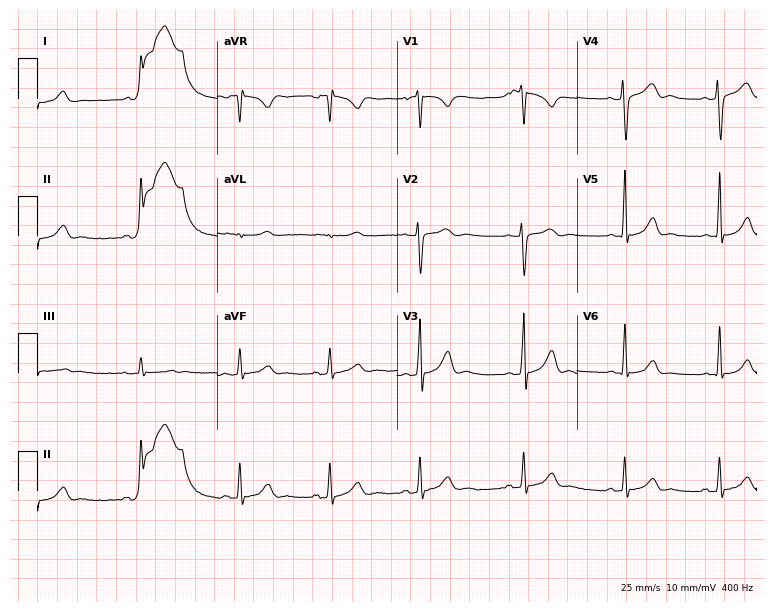
ECG (7.3-second recording at 400 Hz) — a woman, 17 years old. Screened for six findings — first-degree AV block, right bundle branch block (RBBB), left bundle branch block (LBBB), sinus bradycardia, atrial fibrillation (AF), sinus tachycardia — none is recorded.